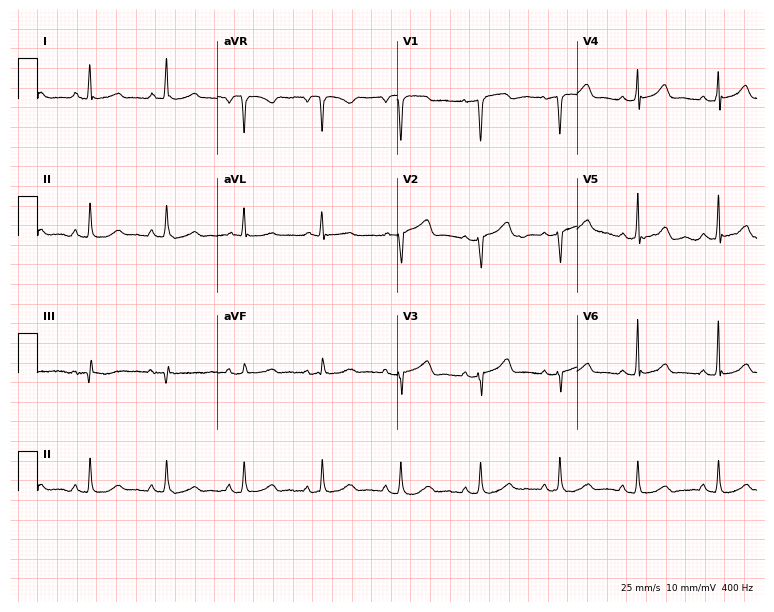
ECG (7.3-second recording at 400 Hz) — a female patient, 48 years old. Screened for six findings — first-degree AV block, right bundle branch block (RBBB), left bundle branch block (LBBB), sinus bradycardia, atrial fibrillation (AF), sinus tachycardia — none is recorded.